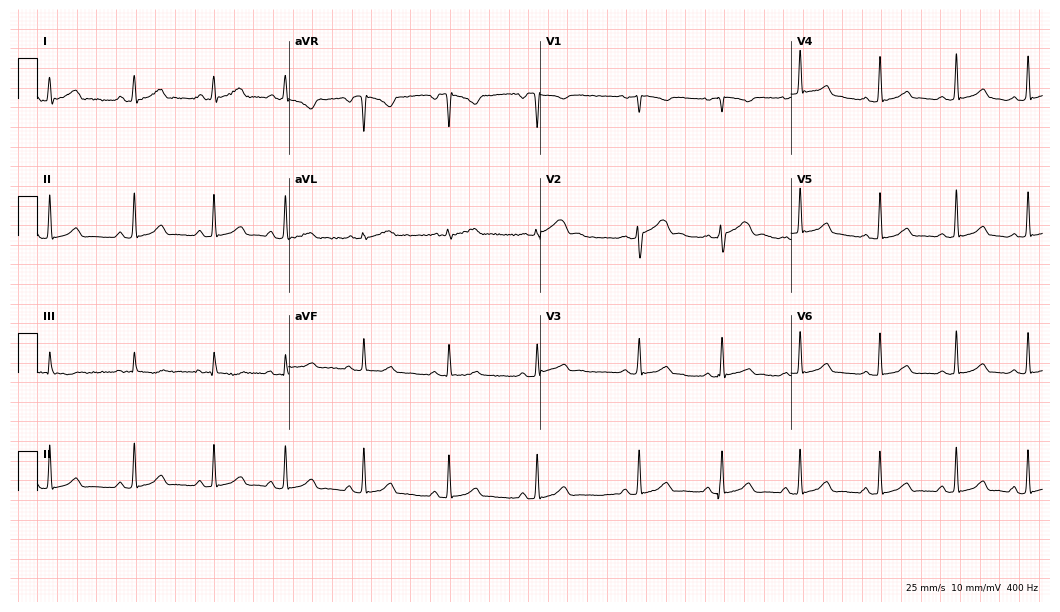
Electrocardiogram (10.2-second recording at 400 Hz), a 21-year-old female. Overall reading on record: normal ECG.